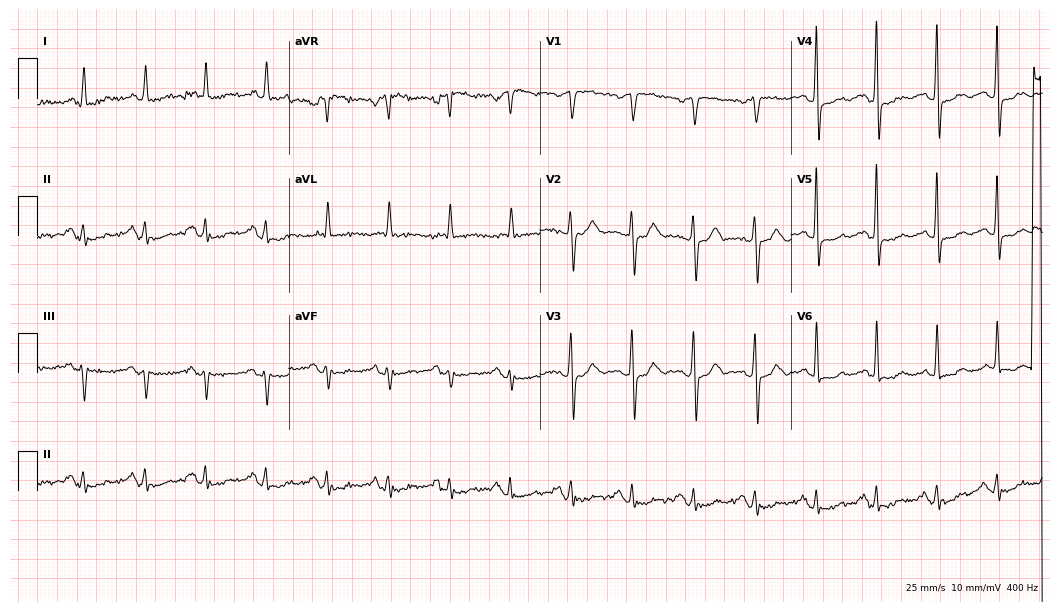
Standard 12-lead ECG recorded from a 72-year-old woman. None of these six findings is recorded: first-degree AV block, right bundle branch block, left bundle branch block, sinus bradycardia, atrial fibrillation, sinus tachycardia. Findings outside these six are not listed.